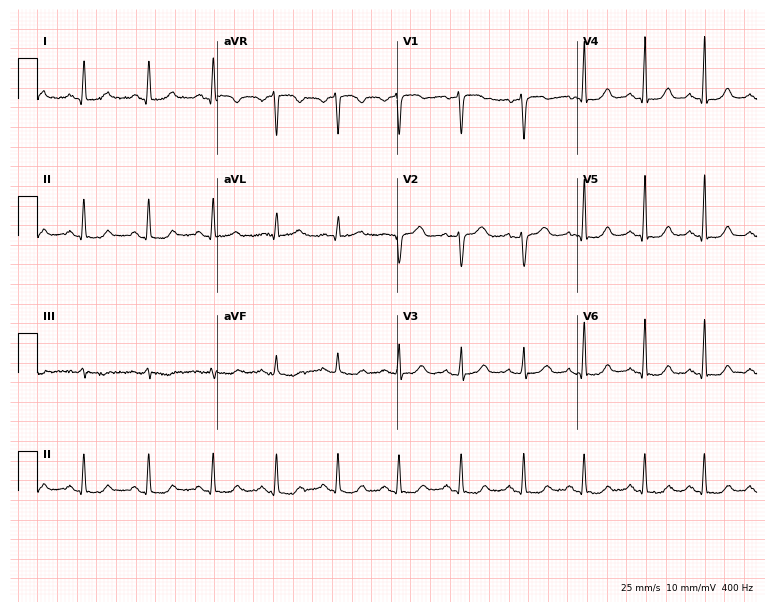
12-lead ECG from a 46-year-old female patient. Screened for six findings — first-degree AV block, right bundle branch block (RBBB), left bundle branch block (LBBB), sinus bradycardia, atrial fibrillation (AF), sinus tachycardia — none is recorded.